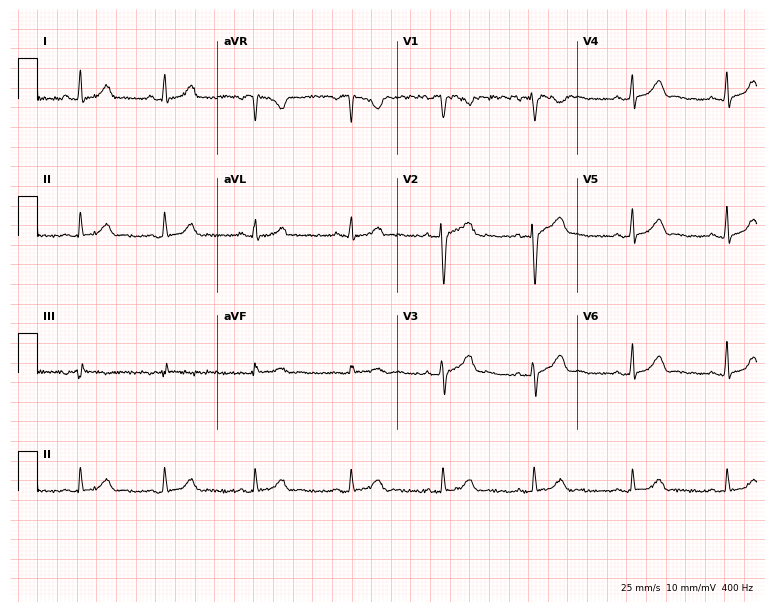
Resting 12-lead electrocardiogram (7.3-second recording at 400 Hz). Patient: a woman, 24 years old. Read as a normal ECG.